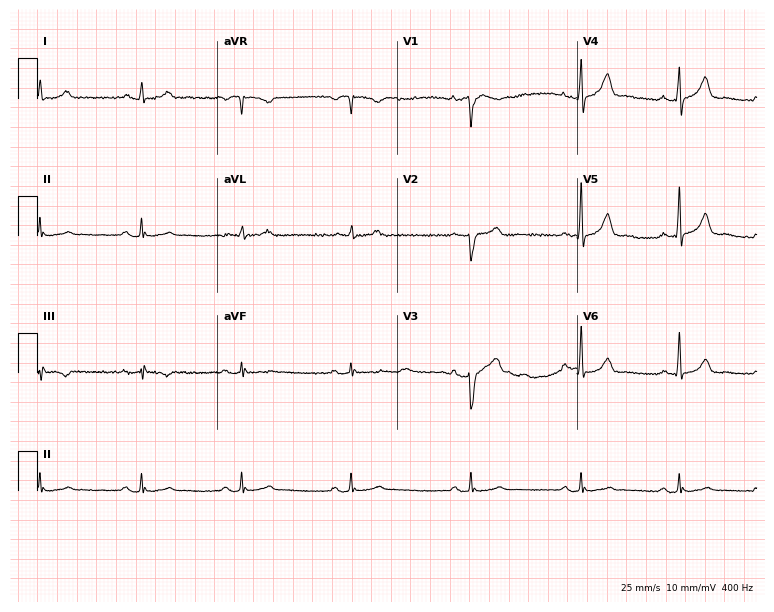
12-lead ECG from a 58-year-old male patient. No first-degree AV block, right bundle branch block (RBBB), left bundle branch block (LBBB), sinus bradycardia, atrial fibrillation (AF) or sinus tachycardia recorded for this tracing.